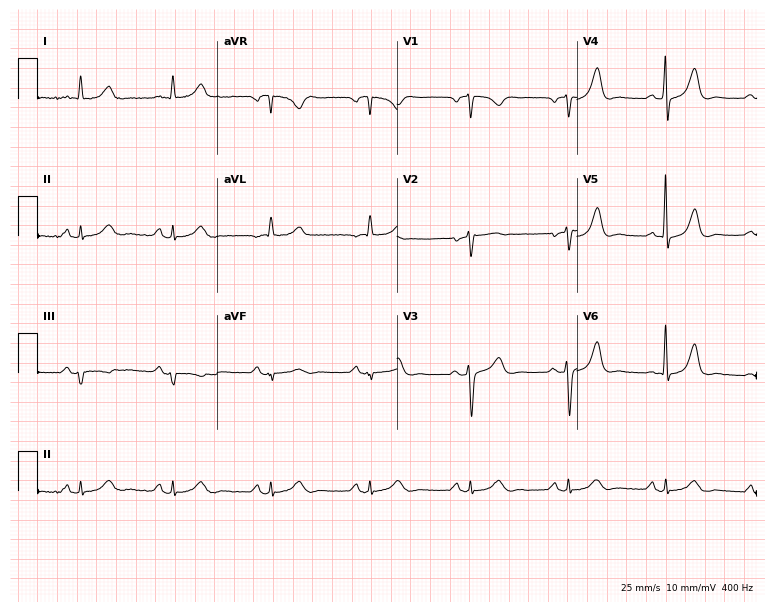
12-lead ECG (7.3-second recording at 400 Hz) from a 65-year-old woman. Screened for six findings — first-degree AV block, right bundle branch block, left bundle branch block, sinus bradycardia, atrial fibrillation, sinus tachycardia — none is recorded. Other findings, if any, are not listed.